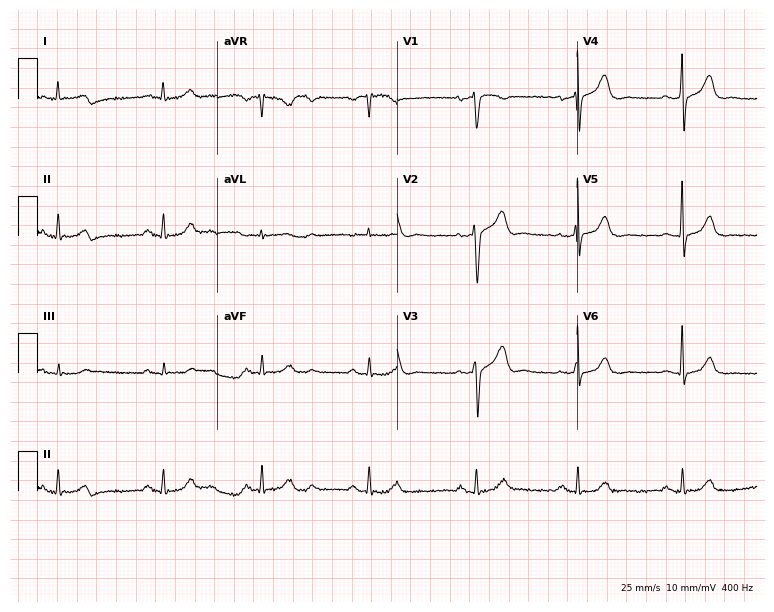
12-lead ECG from a 58-year-old man (7.3-second recording at 400 Hz). Recorded interpretation: within normal limits.